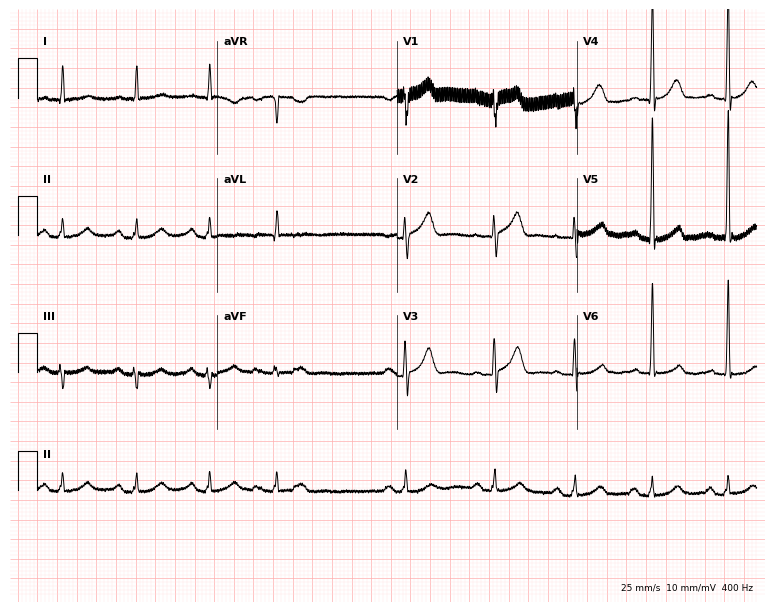
12-lead ECG from an 84-year-old man (7.3-second recording at 400 Hz). No first-degree AV block, right bundle branch block (RBBB), left bundle branch block (LBBB), sinus bradycardia, atrial fibrillation (AF) or sinus tachycardia recorded for this tracing. Findings outside these six are not listed.